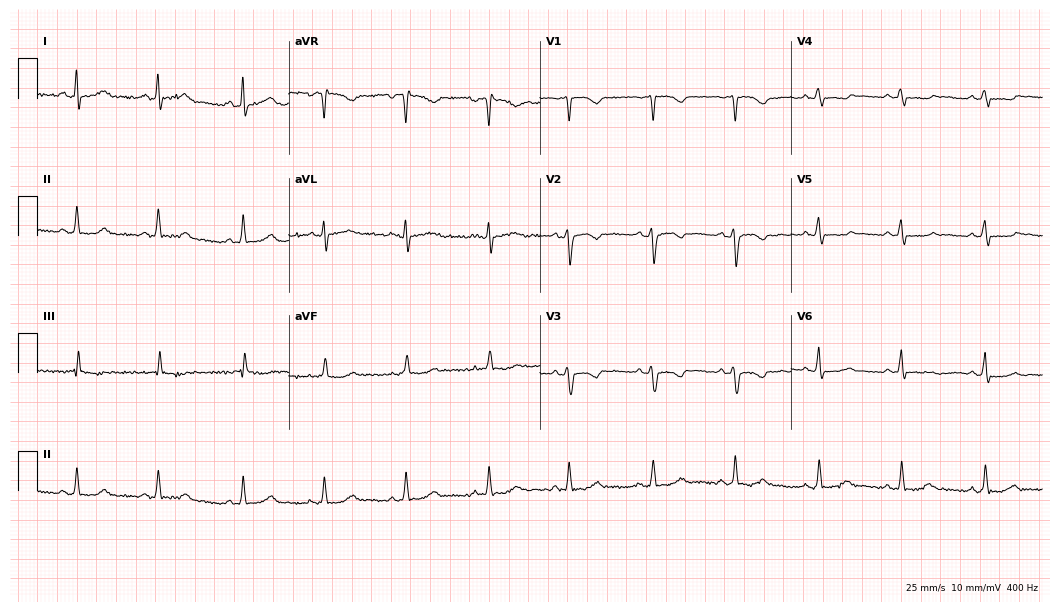
12-lead ECG (10.2-second recording at 400 Hz) from a 30-year-old woman. Screened for six findings — first-degree AV block, right bundle branch block, left bundle branch block, sinus bradycardia, atrial fibrillation, sinus tachycardia — none is recorded.